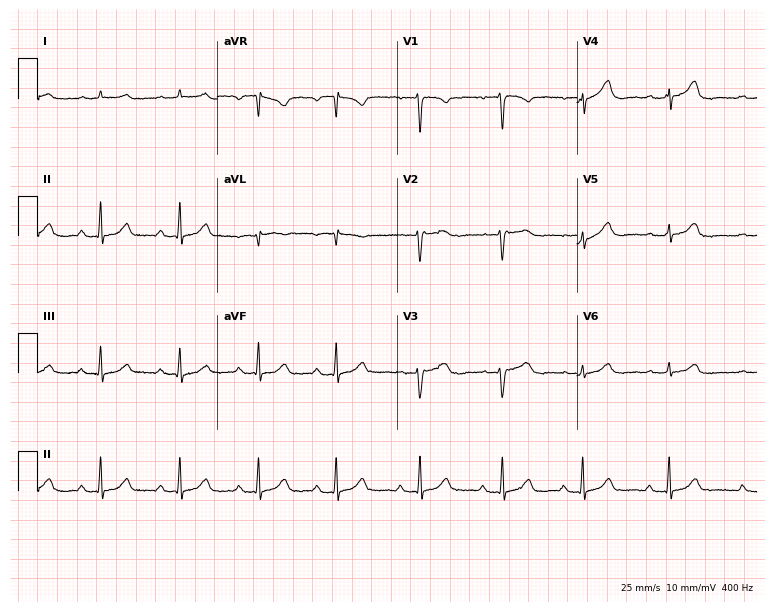
12-lead ECG (7.3-second recording at 400 Hz) from a 46-year-old female patient. Screened for six findings — first-degree AV block, right bundle branch block, left bundle branch block, sinus bradycardia, atrial fibrillation, sinus tachycardia — none is recorded.